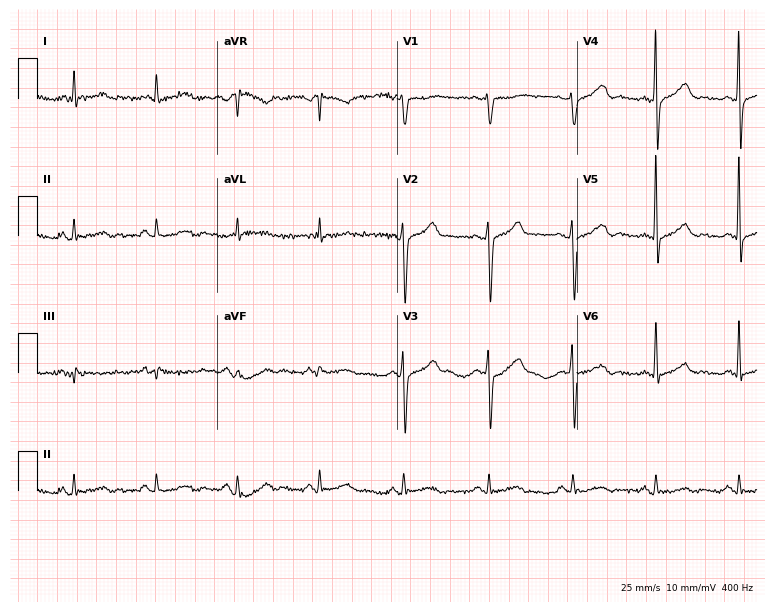
12-lead ECG (7.3-second recording at 400 Hz) from a 58-year-old man. Labelled as a normal ECG.